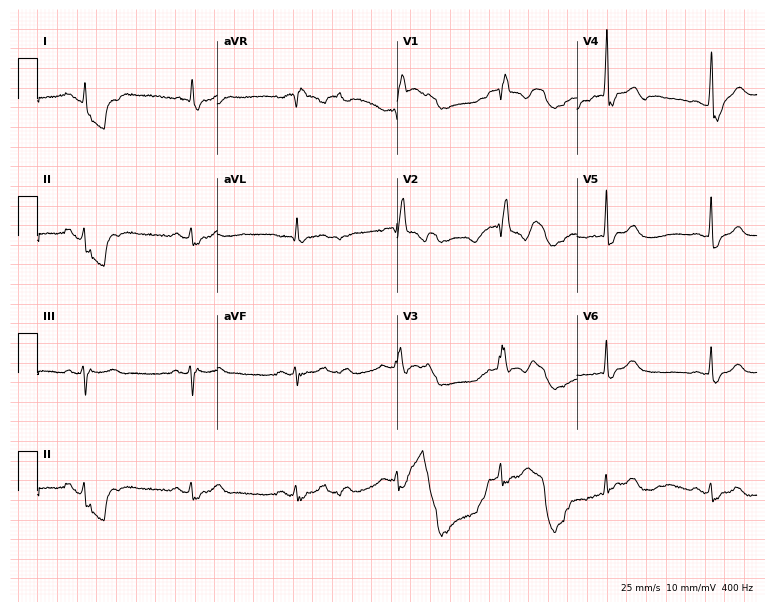
Electrocardiogram (7.3-second recording at 400 Hz), a 79-year-old male patient. Interpretation includes right bundle branch block.